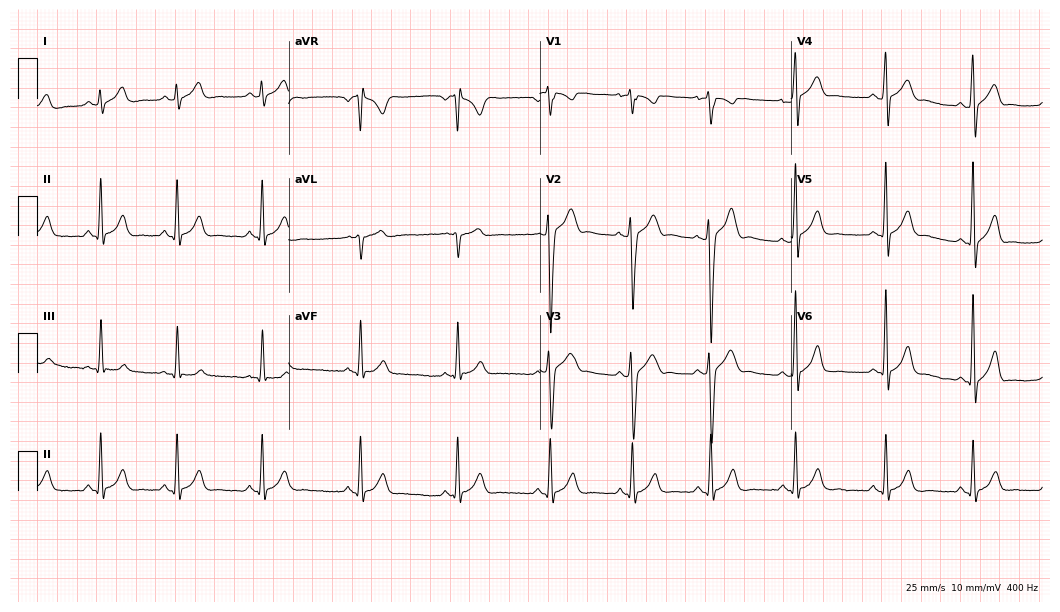
Standard 12-lead ECG recorded from an 18-year-old man. Read as a normal ECG.